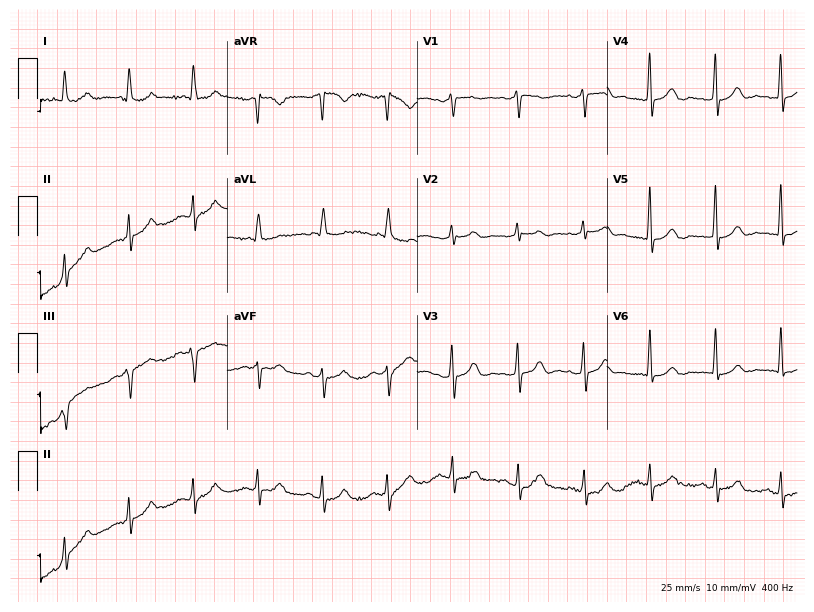
Resting 12-lead electrocardiogram. Patient: a female, 77 years old. Read as a normal ECG.